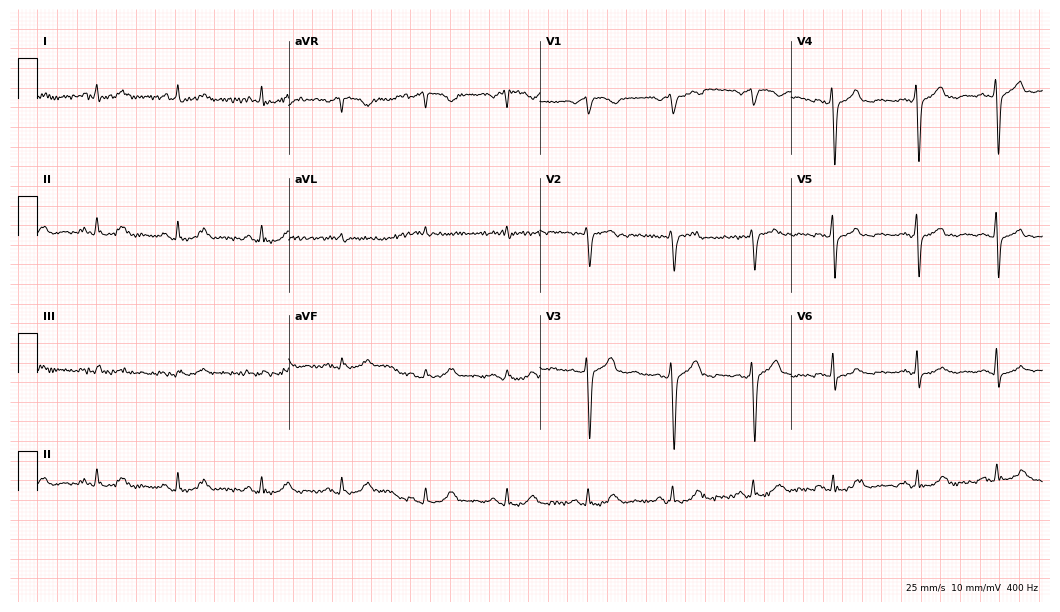
ECG (10.2-second recording at 400 Hz) — a 69-year-old man. Labelled as a normal ECG.